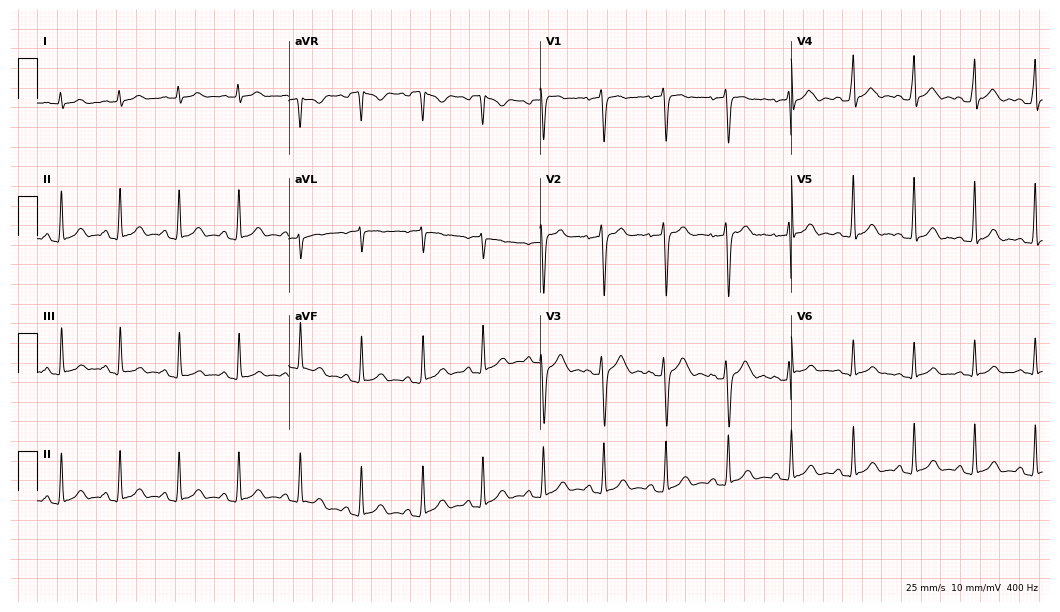
12-lead ECG from a man, 22 years old (10.2-second recording at 400 Hz). Recorded interpretation: within normal limits.